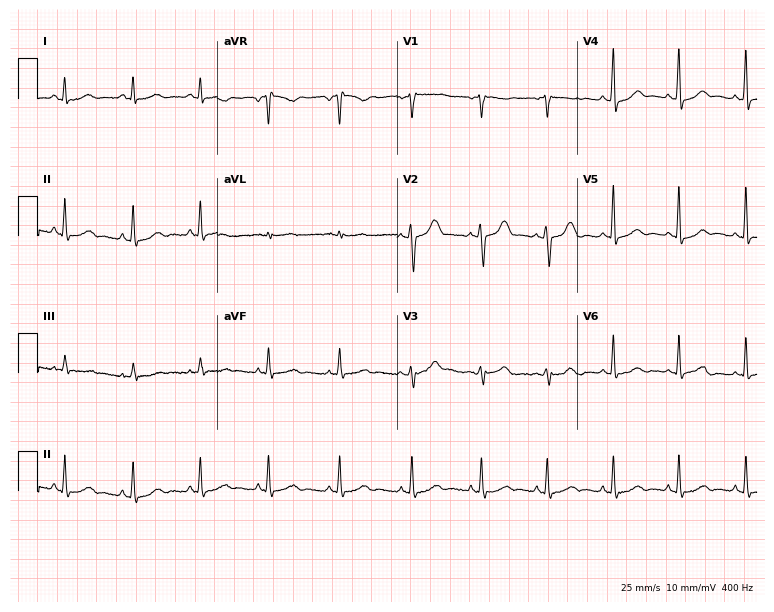
Resting 12-lead electrocardiogram (7.3-second recording at 400 Hz). Patient: a 36-year-old woman. Read as a normal ECG.